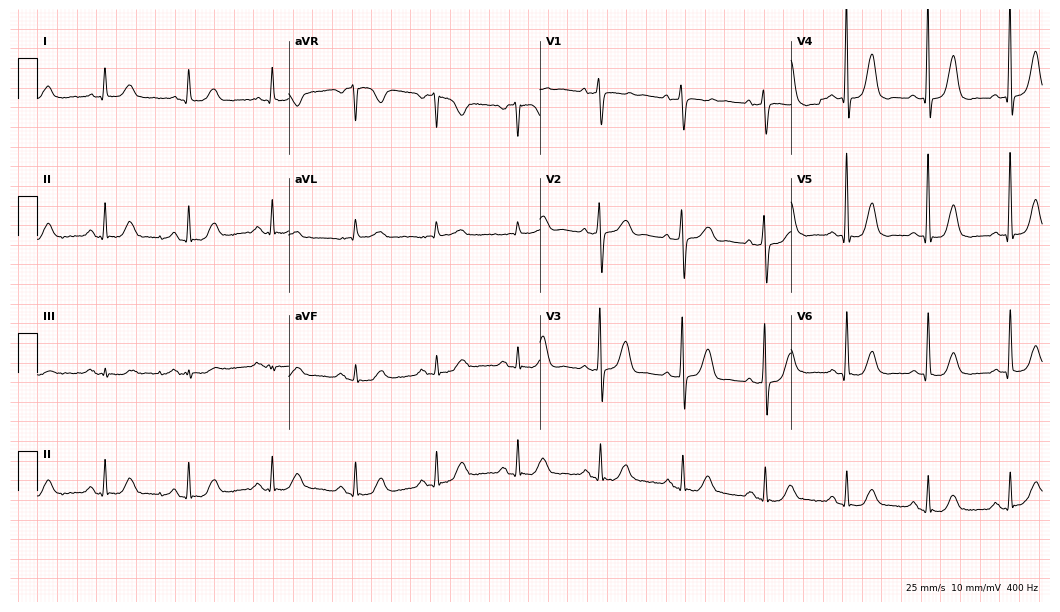
ECG — a 67-year-old female. Screened for six findings — first-degree AV block, right bundle branch block, left bundle branch block, sinus bradycardia, atrial fibrillation, sinus tachycardia — none is recorded.